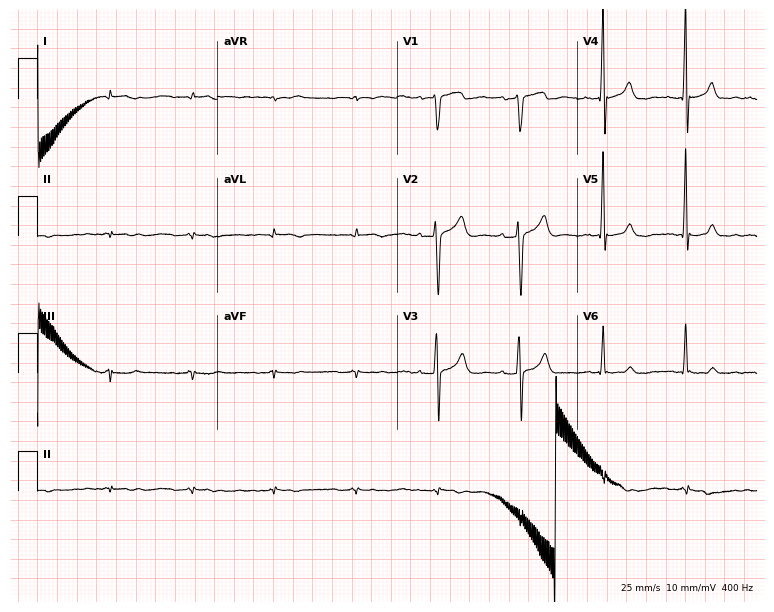
Electrocardiogram, an 83-year-old male. Overall reading on record: normal ECG.